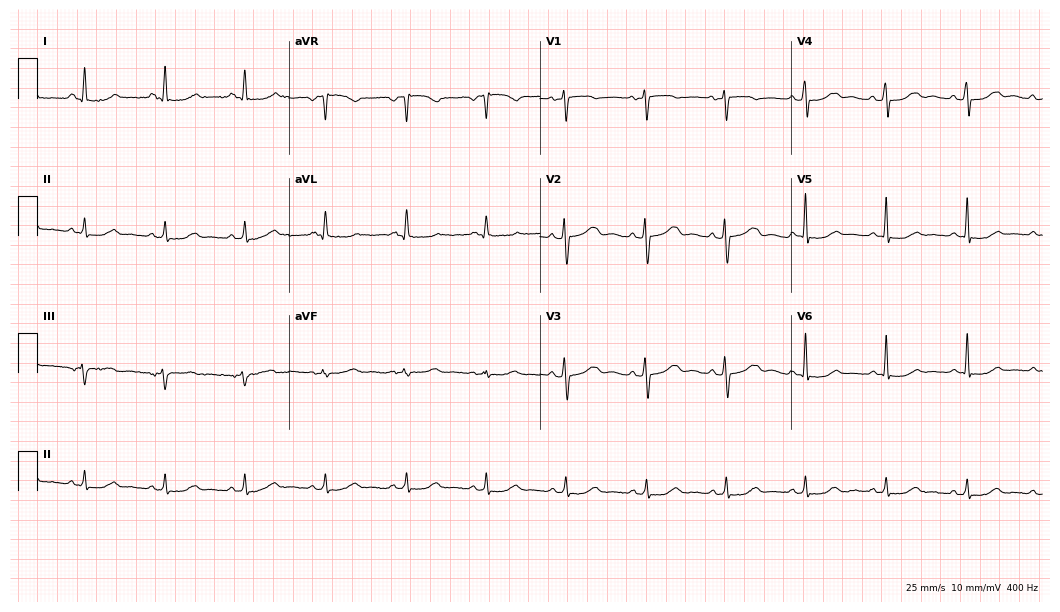
Resting 12-lead electrocardiogram. Patient: a female, 58 years old. Read as a normal ECG.